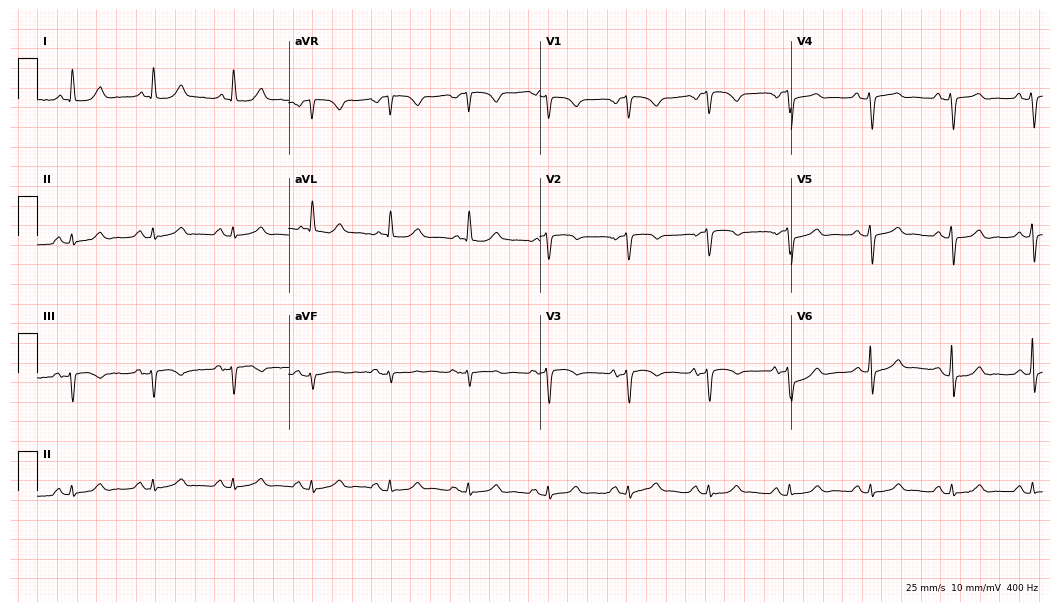
Electrocardiogram (10.2-second recording at 400 Hz), a female, 77 years old. Of the six screened findings (first-degree AV block, right bundle branch block, left bundle branch block, sinus bradycardia, atrial fibrillation, sinus tachycardia), none is recorded.